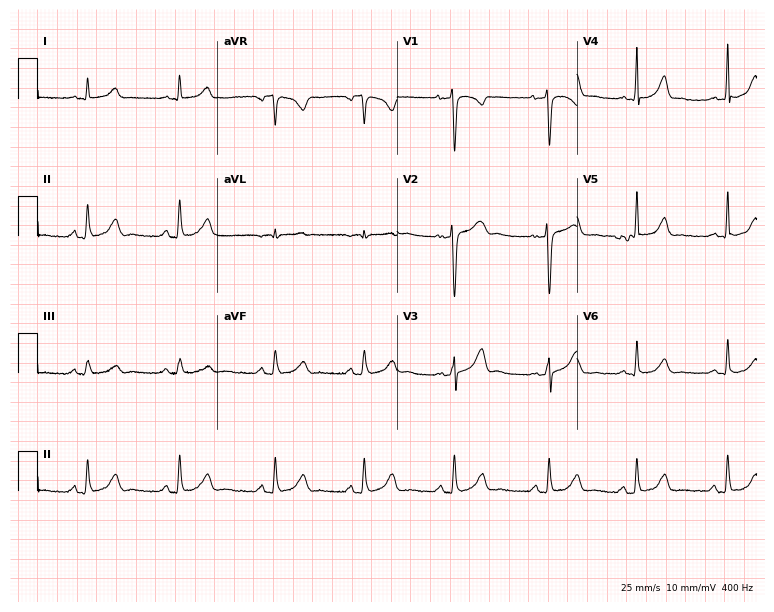
ECG — a female, 35 years old. Labelled as a normal ECG.